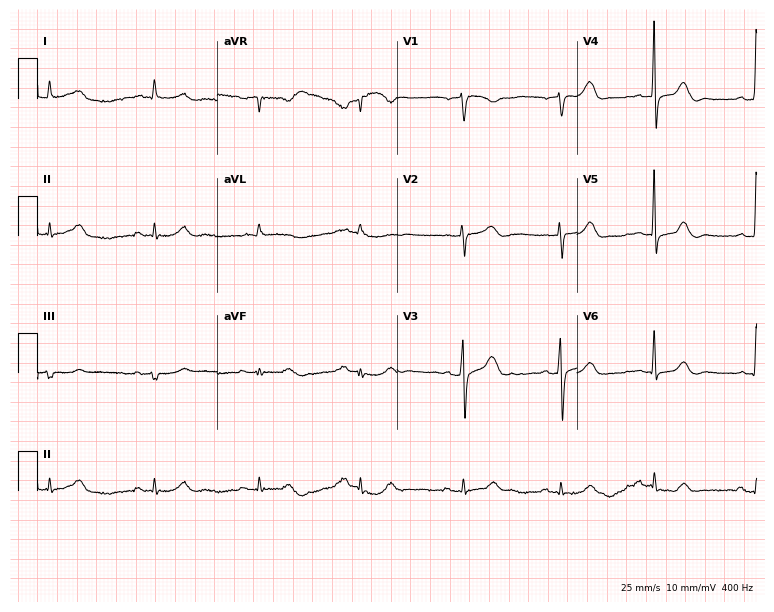
Standard 12-lead ECG recorded from a 63-year-old male (7.3-second recording at 400 Hz). Read as a normal ECG.